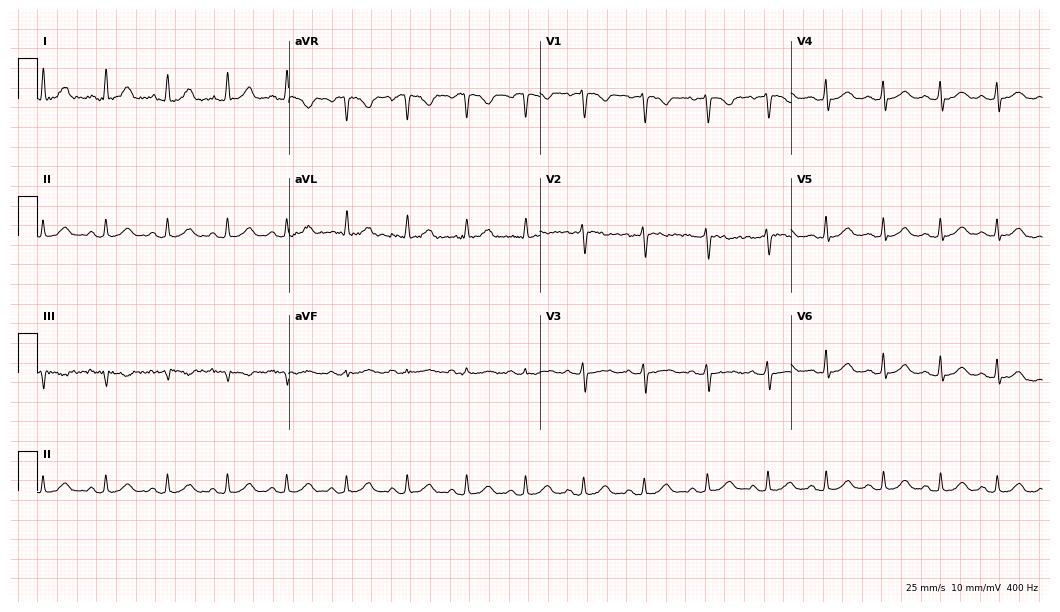
Resting 12-lead electrocardiogram. Patient: a woman, 36 years old. Read as a normal ECG.